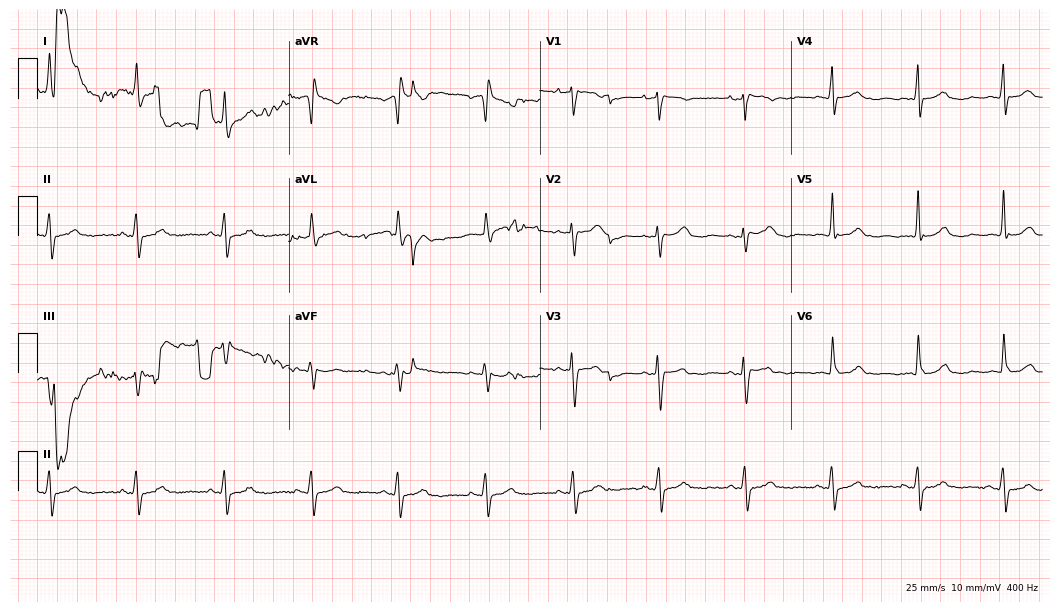
Electrocardiogram (10.2-second recording at 400 Hz), a woman, 69 years old. Overall reading on record: normal ECG.